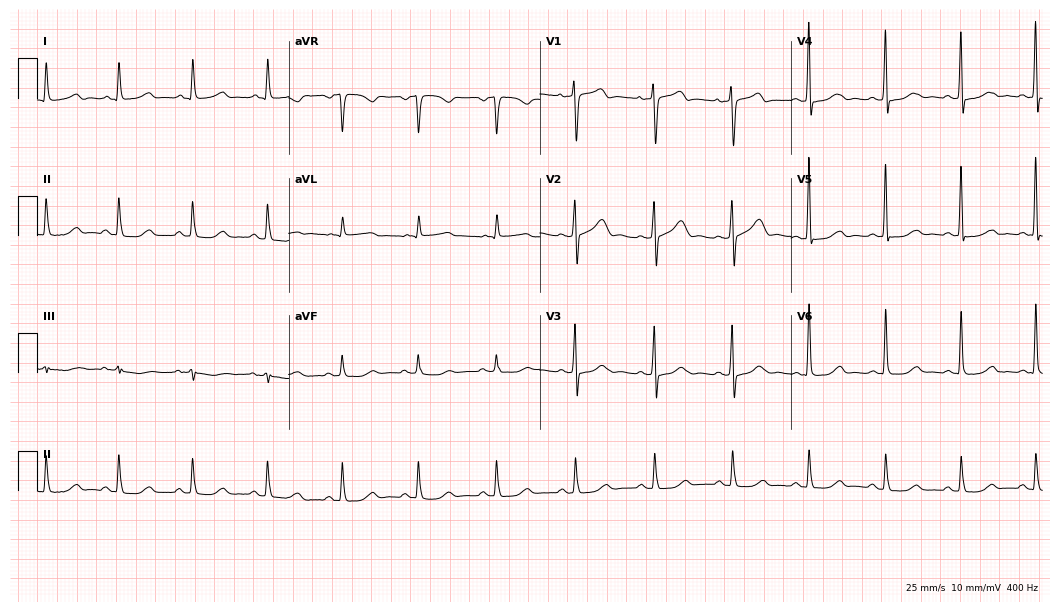
Standard 12-lead ECG recorded from a woman, 57 years old. Read as a normal ECG.